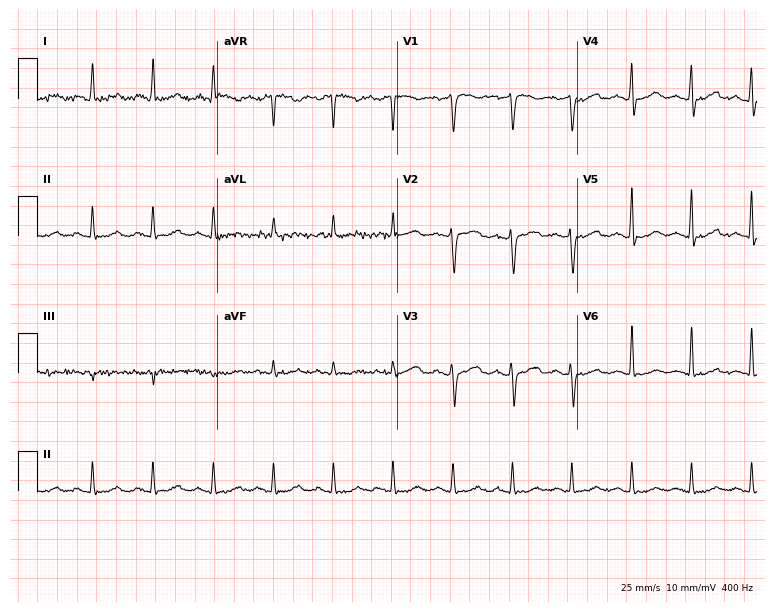
Electrocardiogram, a female, 58 years old. Overall reading on record: normal ECG.